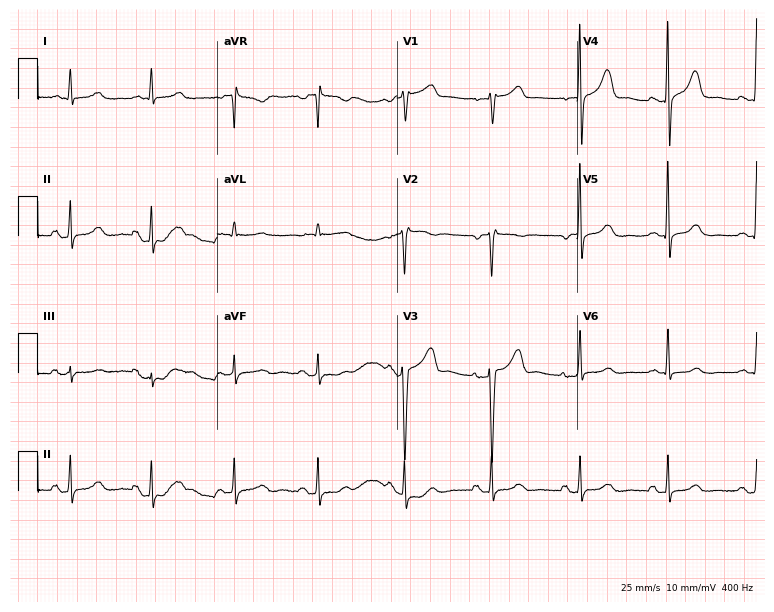
Standard 12-lead ECG recorded from a 45-year-old woman. Read as a normal ECG.